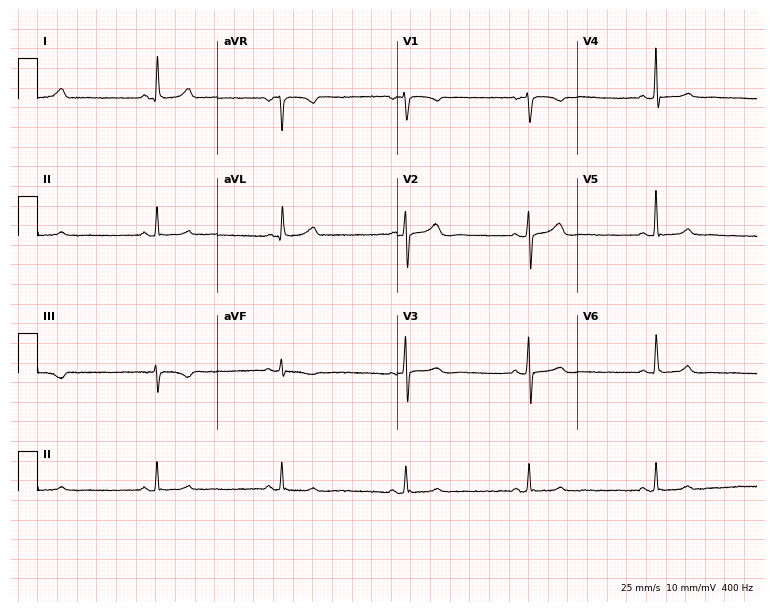
12-lead ECG from a 50-year-old woman. Shows sinus bradycardia (a sinus rate of 50 beats per minute or less).